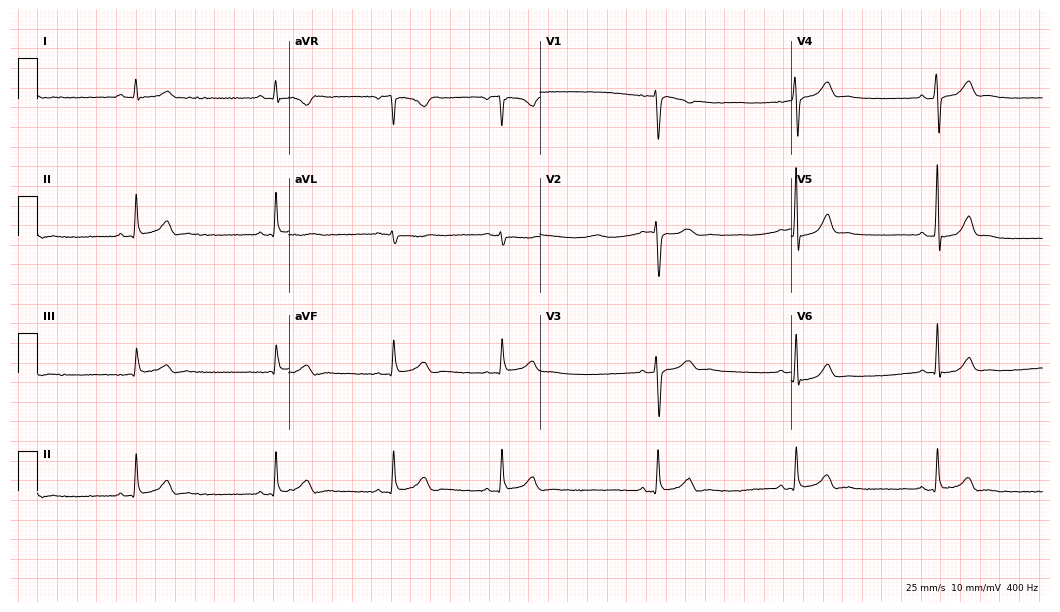
12-lead ECG from a male patient, 47 years old. Shows sinus bradycardia (a sinus rate of 50 beats per minute or less).